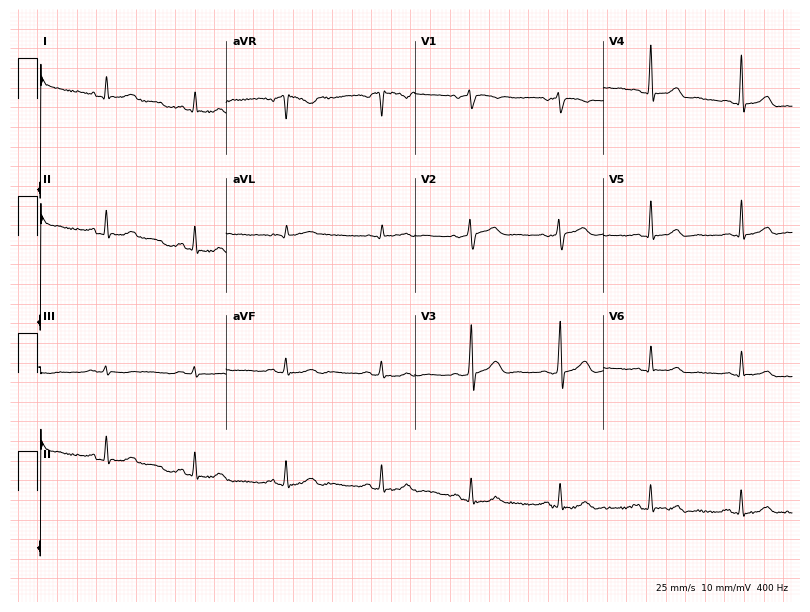
ECG — a 62-year-old male patient. Labelled as a normal ECG.